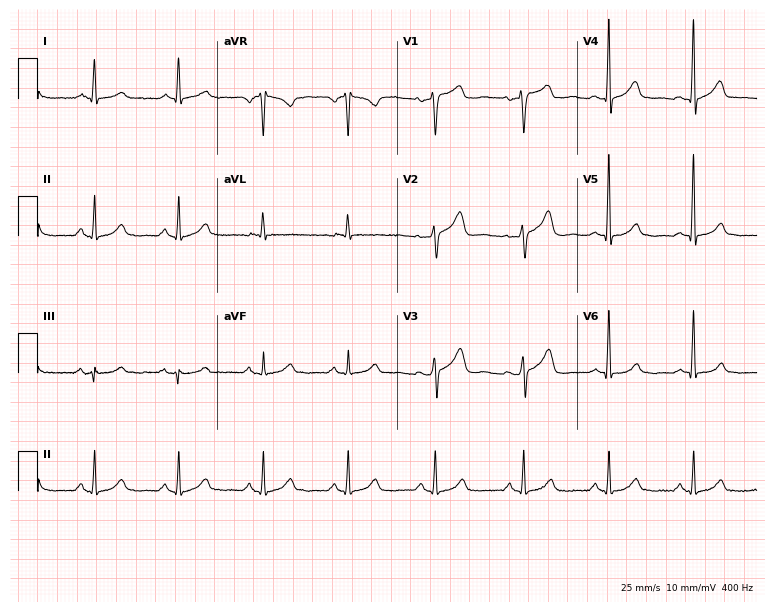
12-lead ECG from a female, 61 years old (7.3-second recording at 400 Hz). Recorded interpretation: within normal limits.